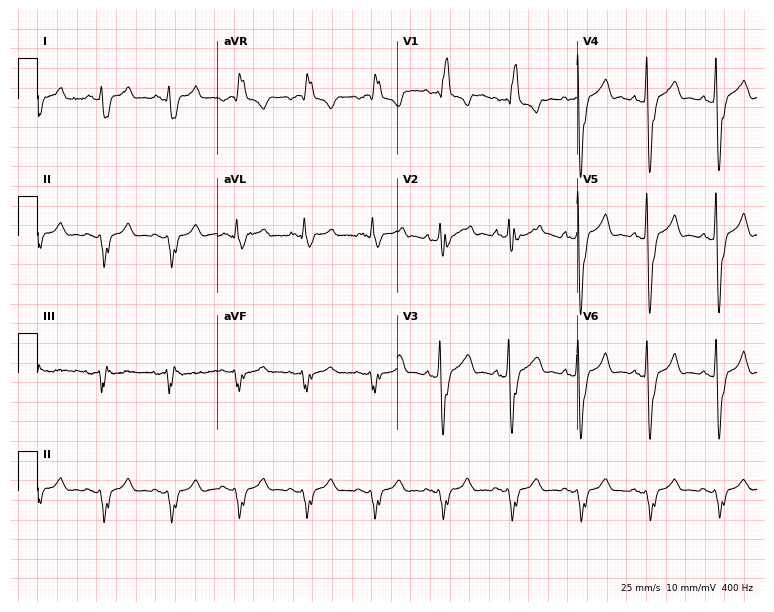
Electrocardiogram (7.3-second recording at 400 Hz), a male, 53 years old. Interpretation includes right bundle branch block.